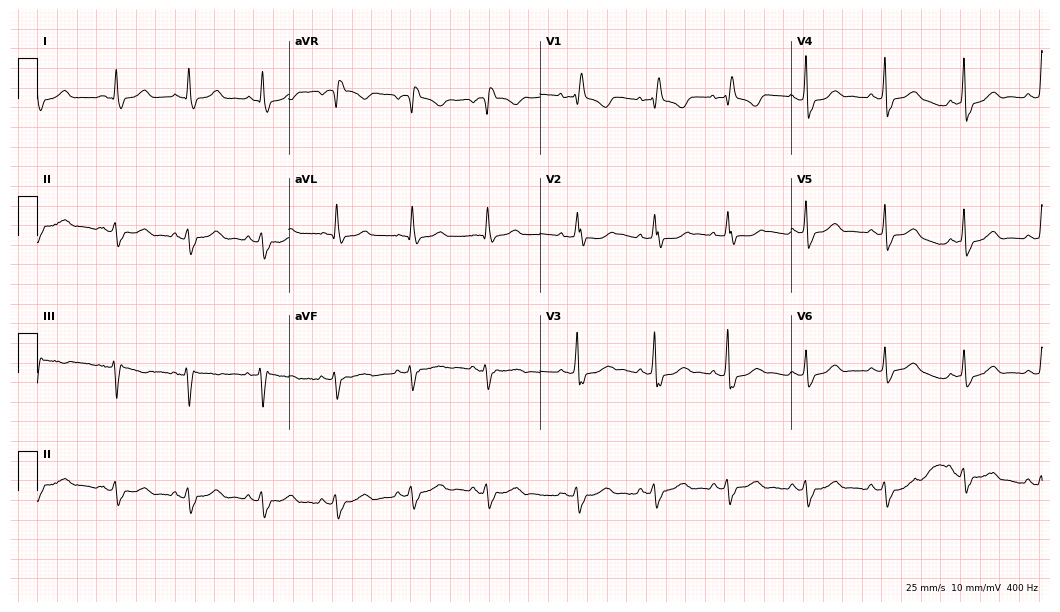
Standard 12-lead ECG recorded from a woman, 73 years old. None of these six findings is recorded: first-degree AV block, right bundle branch block, left bundle branch block, sinus bradycardia, atrial fibrillation, sinus tachycardia. Findings outside these six are not listed.